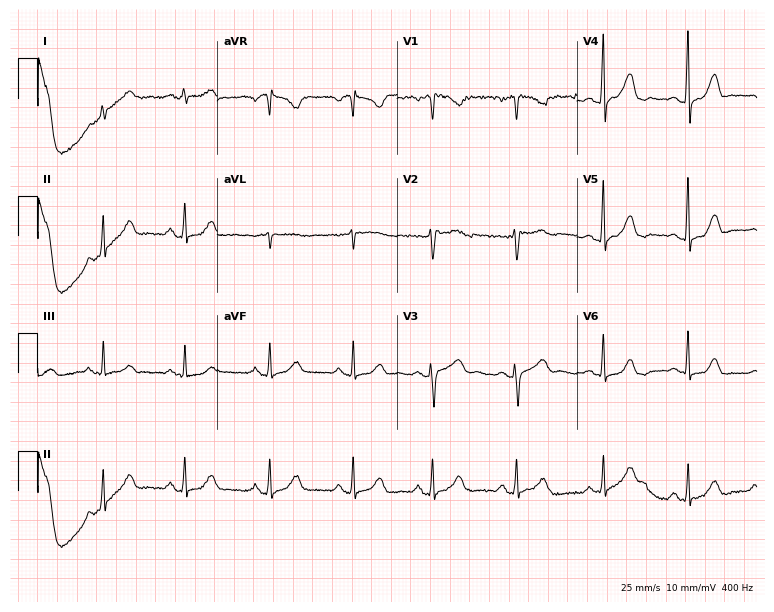
ECG — a woman, 39 years old. Screened for six findings — first-degree AV block, right bundle branch block (RBBB), left bundle branch block (LBBB), sinus bradycardia, atrial fibrillation (AF), sinus tachycardia — none is recorded. Findings outside these six are not listed.